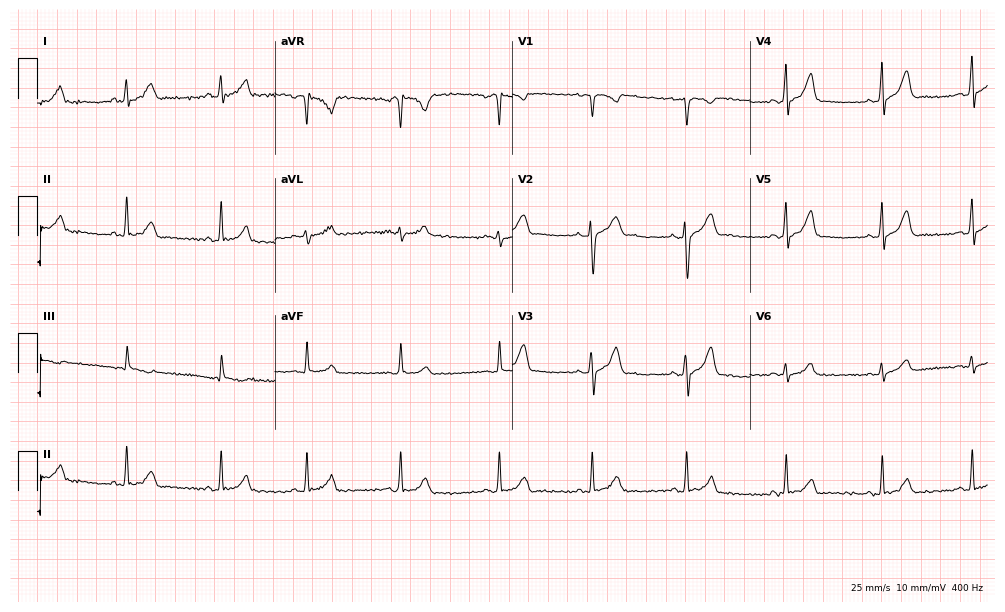
12-lead ECG from a 26-year-old female (9.7-second recording at 400 Hz). Recorded interpretation: within normal limits.